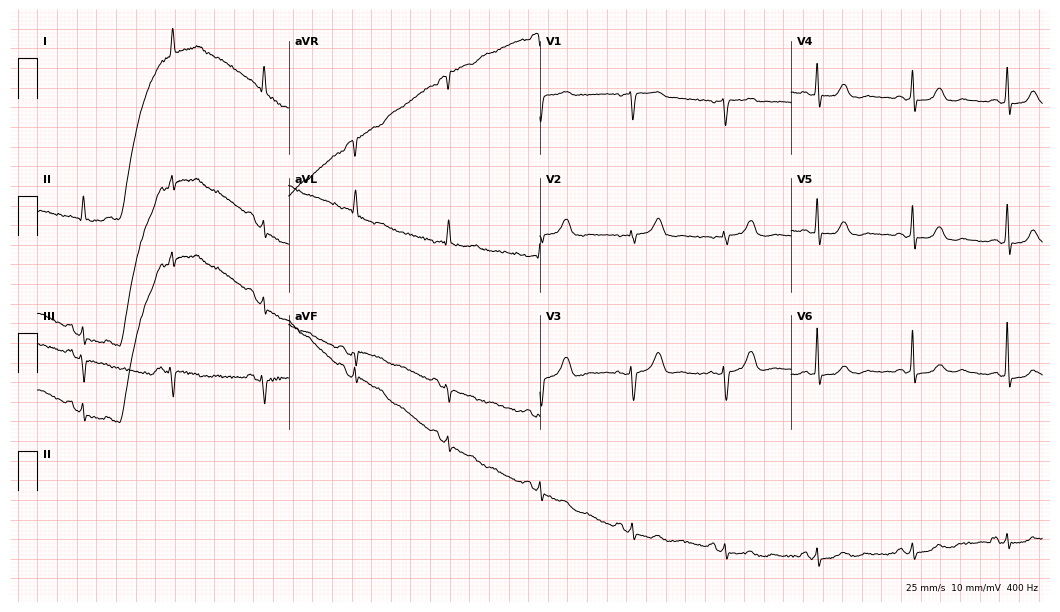
12-lead ECG (10.2-second recording at 400 Hz) from a 77-year-old female patient. Labelled as a normal ECG.